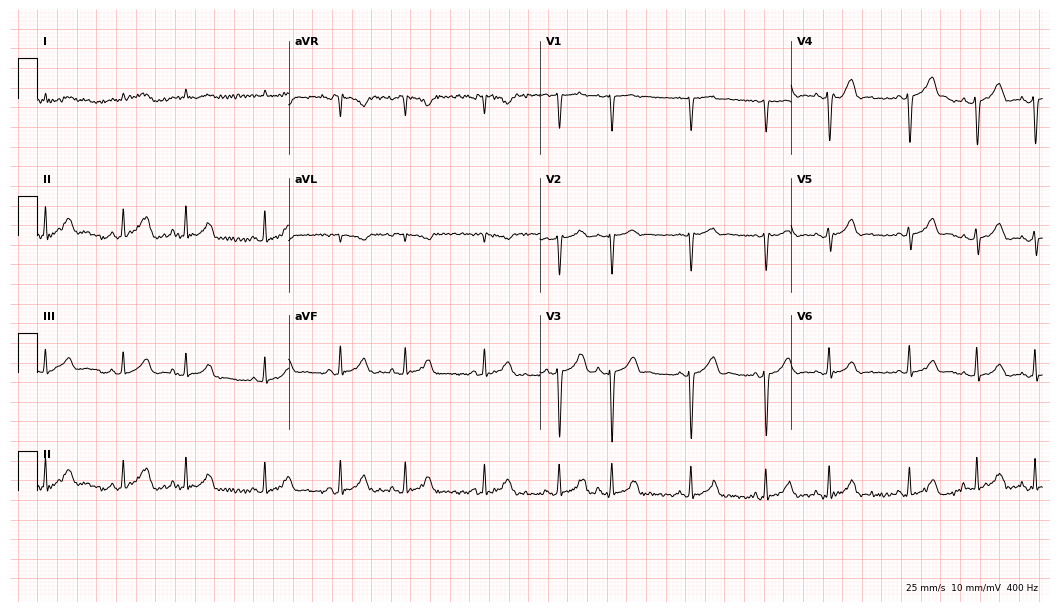
12-lead ECG from a man, 77 years old. Labelled as a normal ECG.